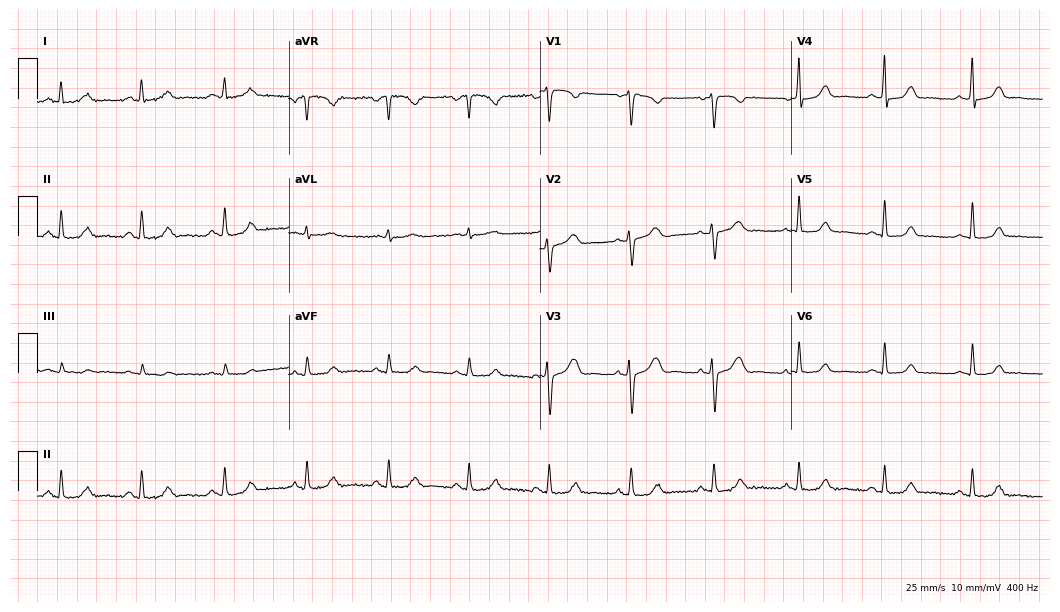
Standard 12-lead ECG recorded from a woman, 47 years old. None of these six findings is recorded: first-degree AV block, right bundle branch block, left bundle branch block, sinus bradycardia, atrial fibrillation, sinus tachycardia. Only these six findings were labelled.